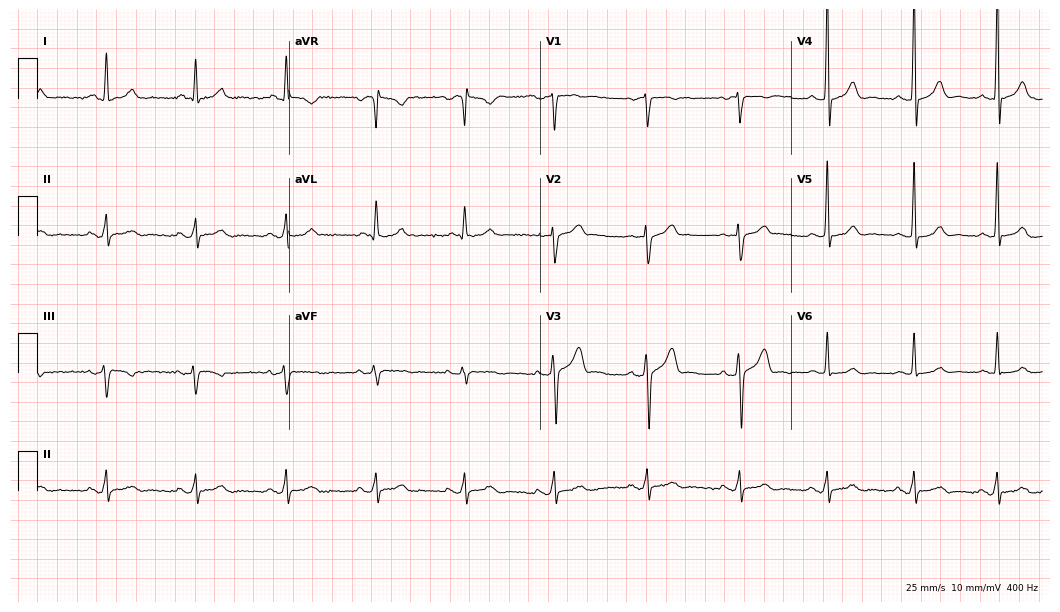
Resting 12-lead electrocardiogram (10.2-second recording at 400 Hz). Patient: a 42-year-old male. Read as a normal ECG.